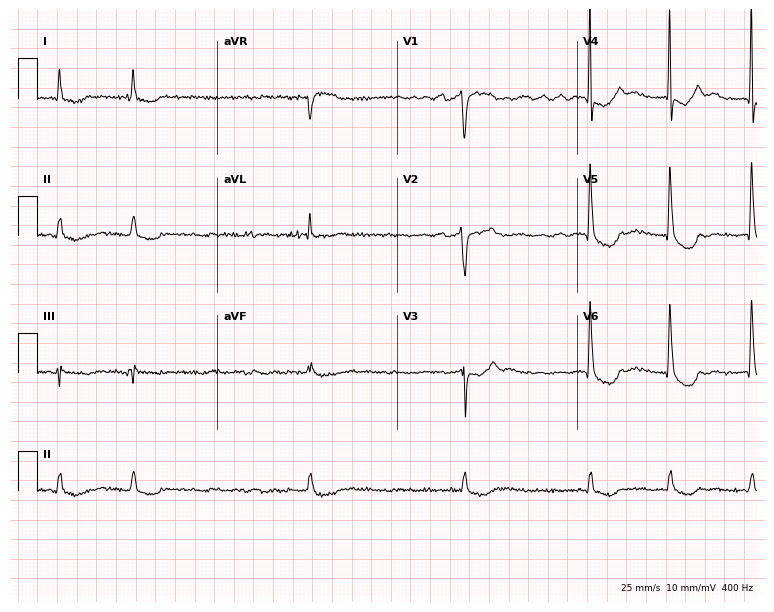
Electrocardiogram (7.3-second recording at 400 Hz), a female patient, 84 years old. Interpretation includes atrial fibrillation.